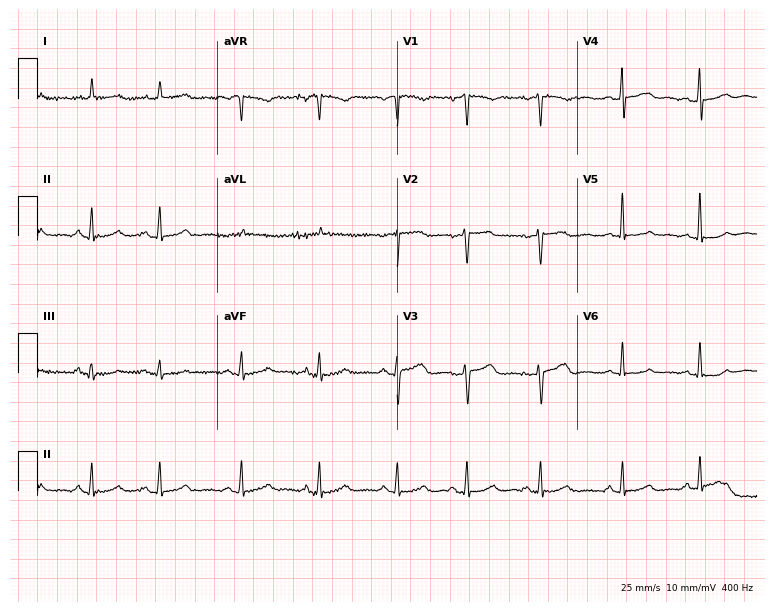
12-lead ECG from a 50-year-old female patient (7.3-second recording at 400 Hz). No first-degree AV block, right bundle branch block, left bundle branch block, sinus bradycardia, atrial fibrillation or sinus tachycardia recorded for this tracing.